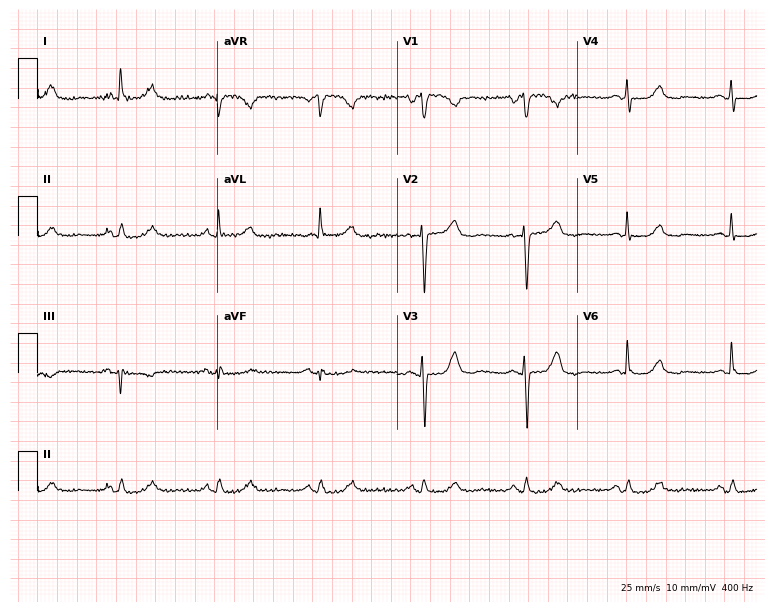
Resting 12-lead electrocardiogram (7.3-second recording at 400 Hz). Patient: a female, 83 years old. Read as a normal ECG.